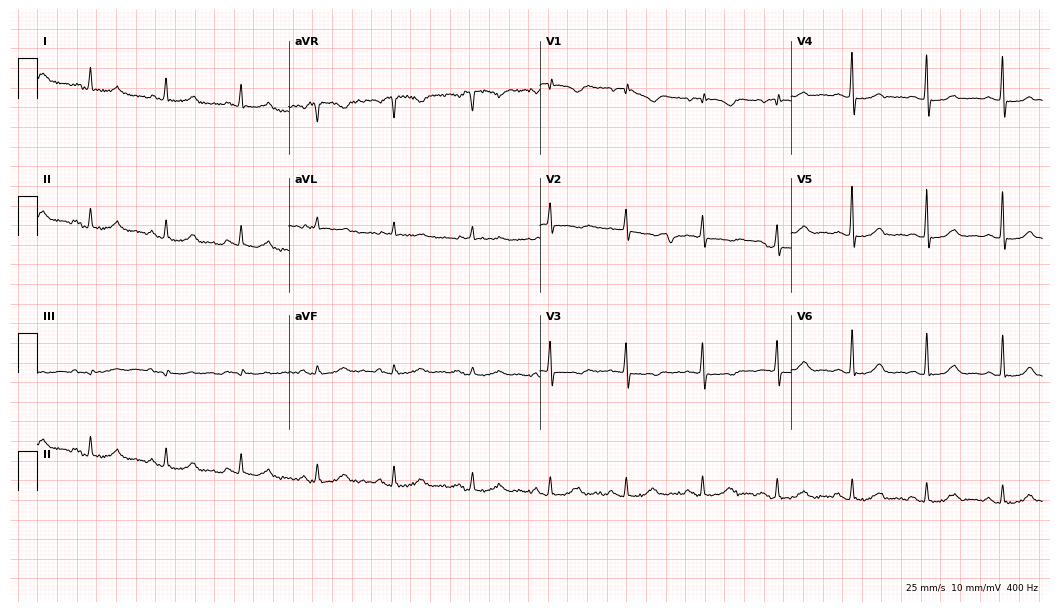
Resting 12-lead electrocardiogram. Patient: a female, 78 years old. Read as a normal ECG.